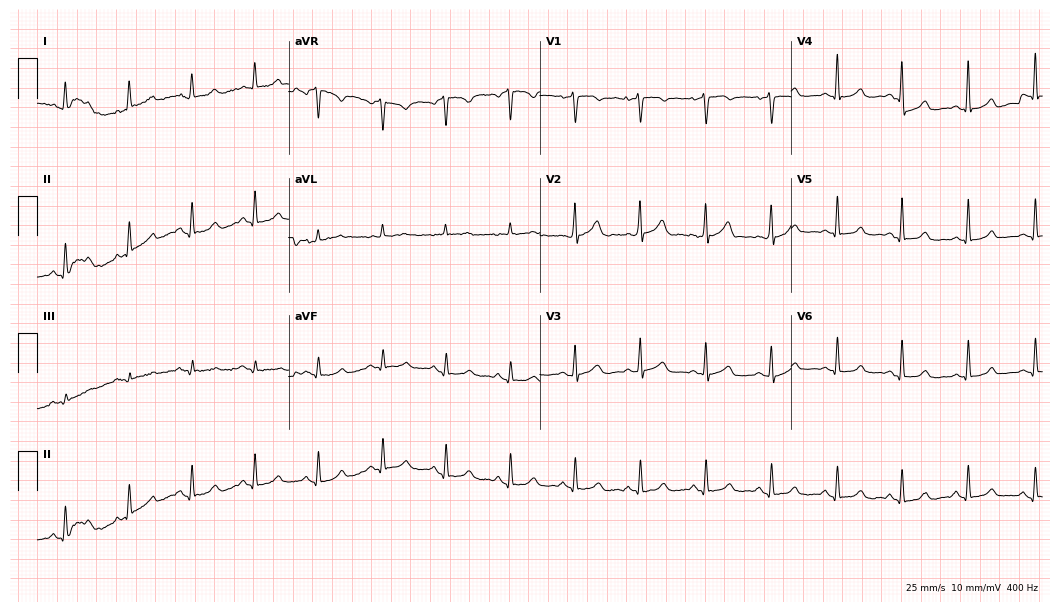
Electrocardiogram, a female, 45 years old. Overall reading on record: normal ECG.